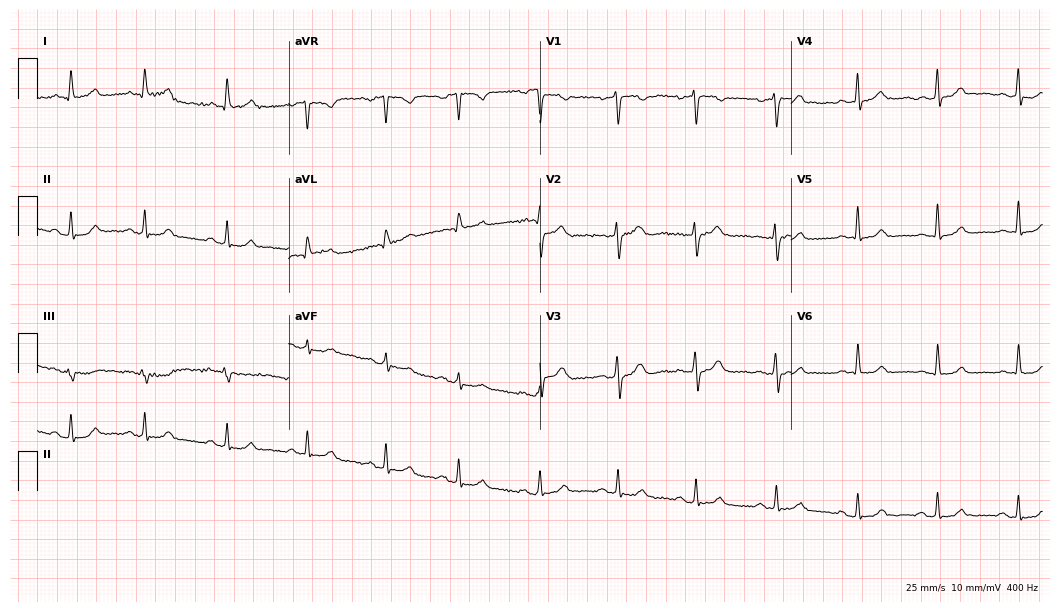
12-lead ECG from a male, 53 years old. Labelled as a normal ECG.